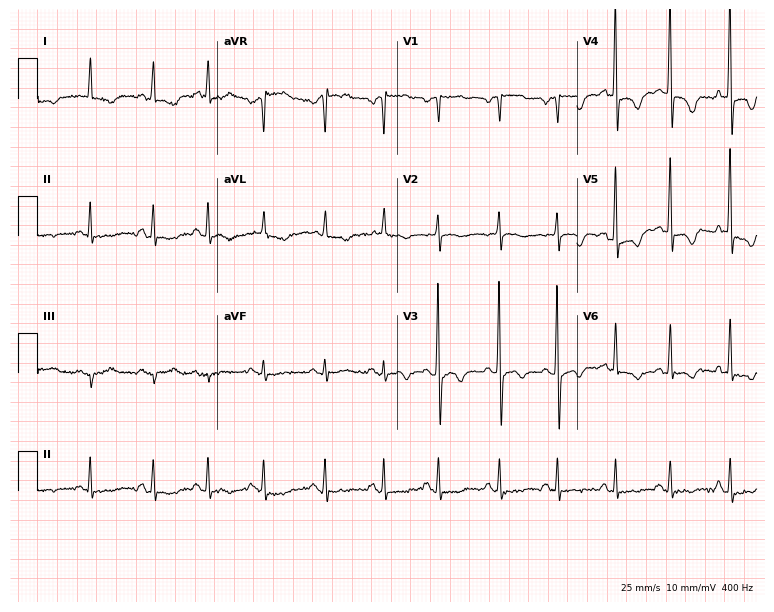
Standard 12-lead ECG recorded from a male patient, 83 years old (7.3-second recording at 400 Hz). The tracing shows sinus tachycardia (a sinus rate of 100 beats per minute or more).